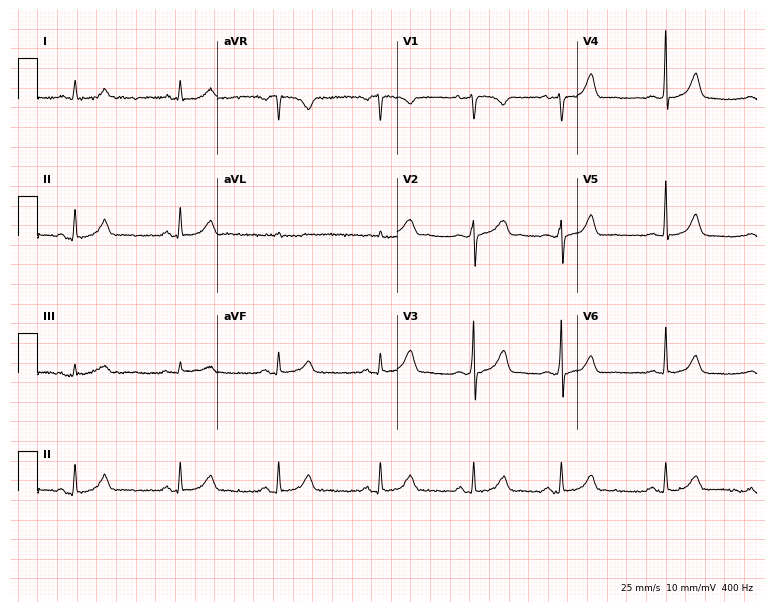
Standard 12-lead ECG recorded from a woman, 22 years old. Read as a normal ECG.